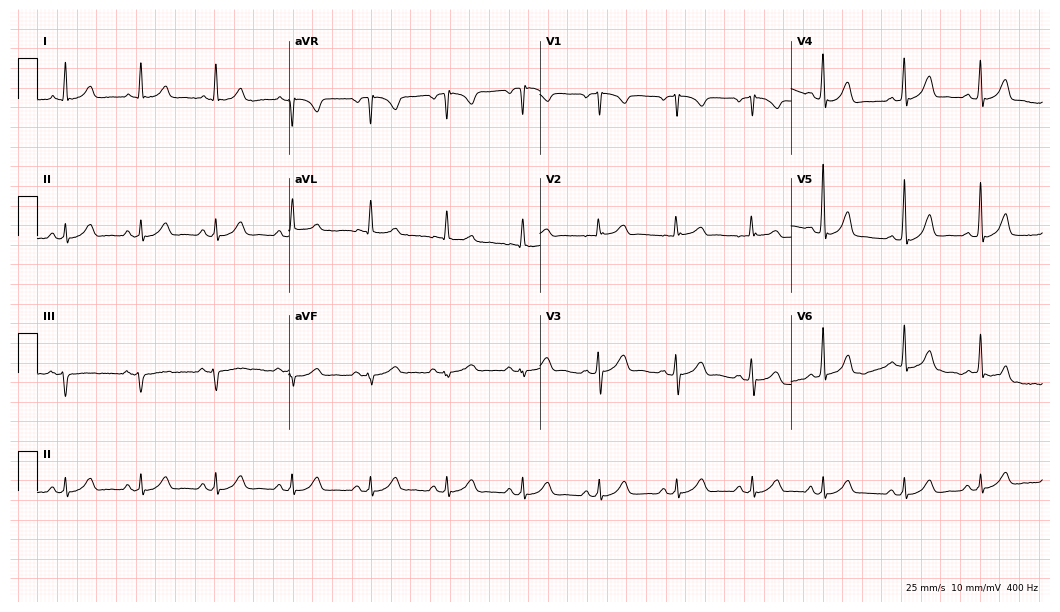
ECG — a 63-year-old male. Labelled as a normal ECG.